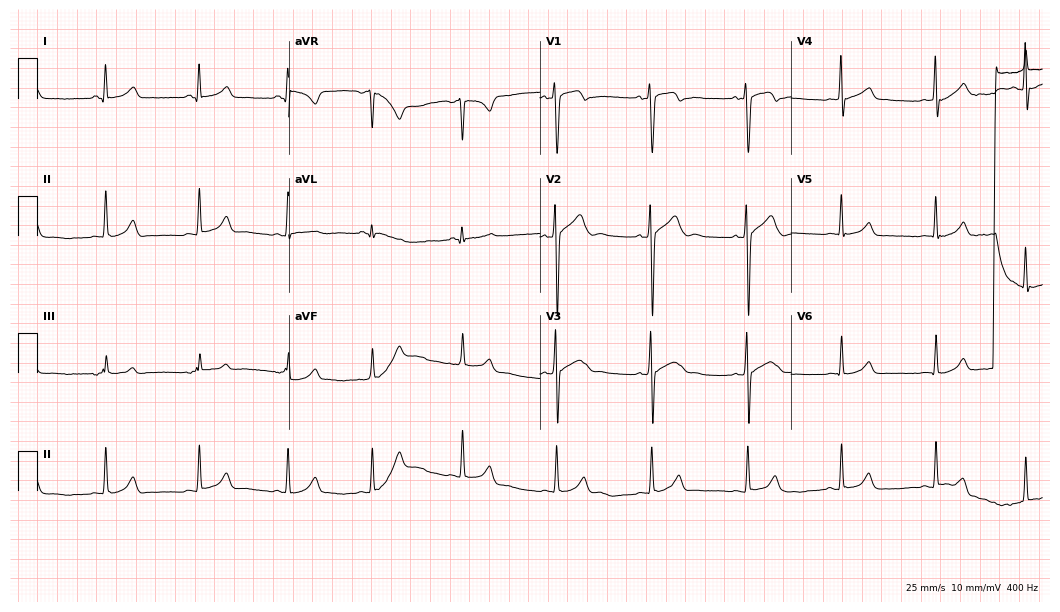
Standard 12-lead ECG recorded from a 21-year-old man. None of these six findings is recorded: first-degree AV block, right bundle branch block, left bundle branch block, sinus bradycardia, atrial fibrillation, sinus tachycardia.